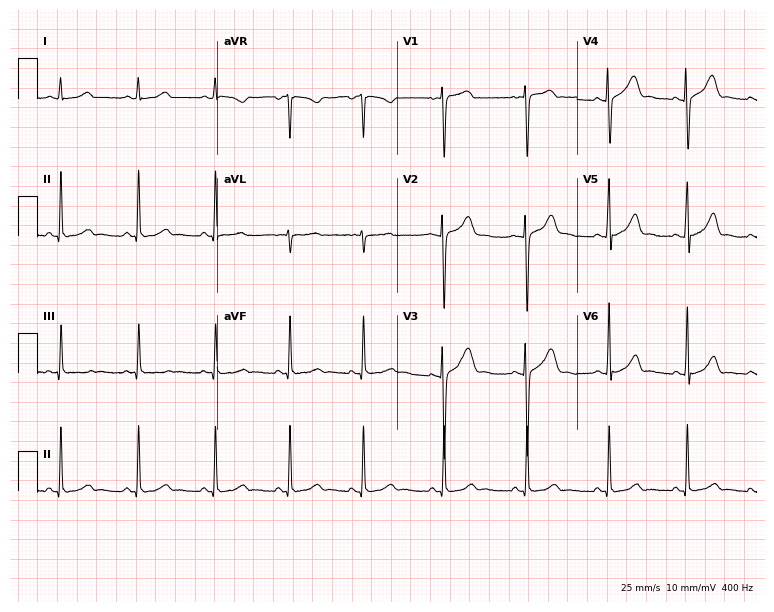
12-lead ECG from a woman, 27 years old (7.3-second recording at 400 Hz). Recorded interpretation: within normal limits.